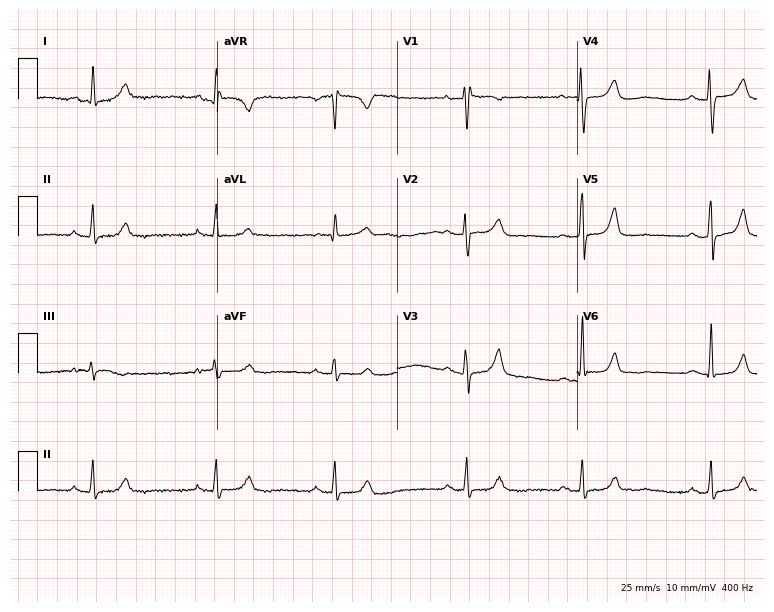
12-lead ECG from a female patient, 43 years old. Recorded interpretation: within normal limits.